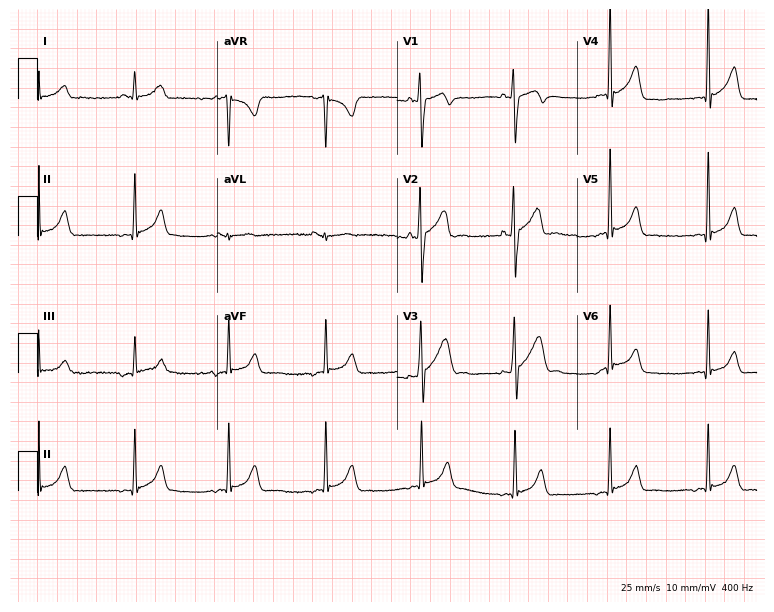
Standard 12-lead ECG recorded from a man, 21 years old (7.3-second recording at 400 Hz). None of these six findings is recorded: first-degree AV block, right bundle branch block, left bundle branch block, sinus bradycardia, atrial fibrillation, sinus tachycardia.